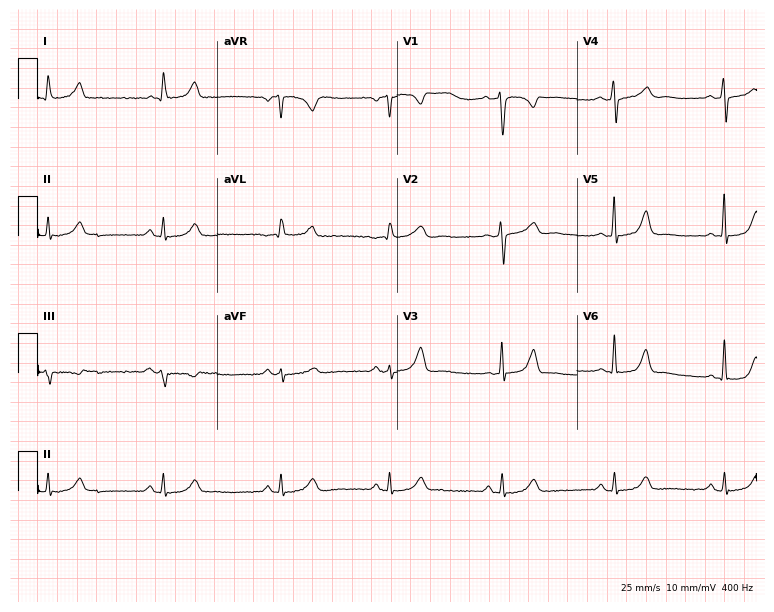
ECG (7.3-second recording at 400 Hz) — a female patient, 39 years old. Screened for six findings — first-degree AV block, right bundle branch block, left bundle branch block, sinus bradycardia, atrial fibrillation, sinus tachycardia — none is recorded.